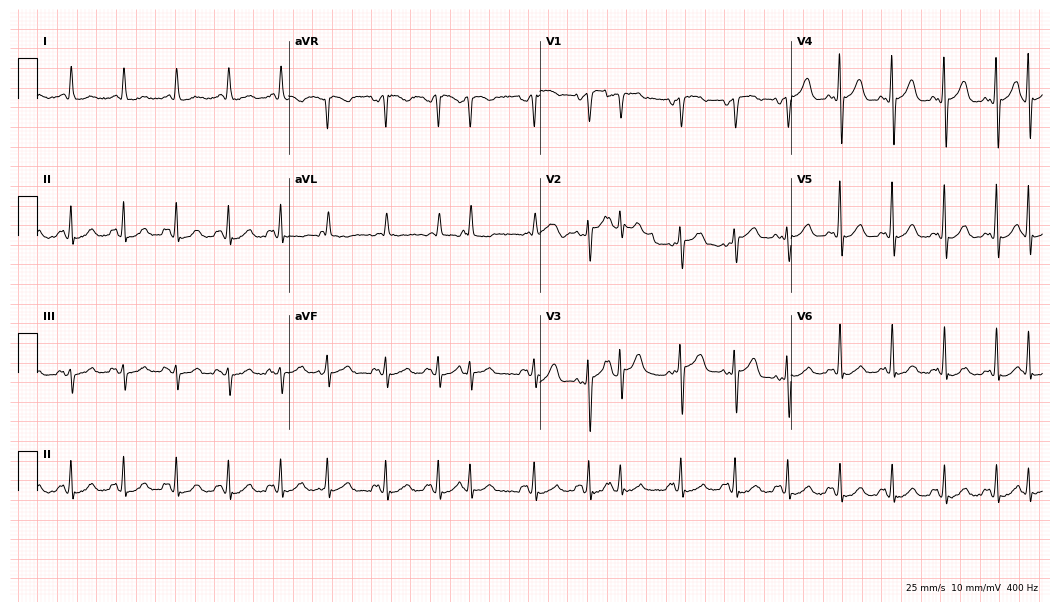
12-lead ECG from an 81-year-old male patient (10.2-second recording at 400 Hz). Shows sinus tachycardia (a sinus rate of 100 beats per minute or more).